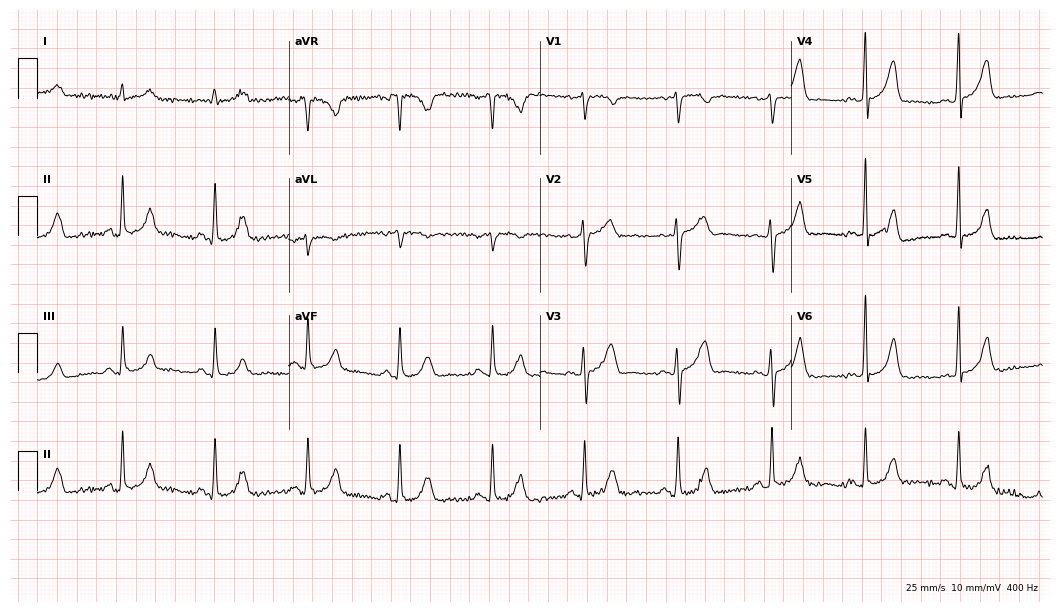
12-lead ECG (10.2-second recording at 400 Hz) from a 71-year-old man. Labelled as a normal ECG.